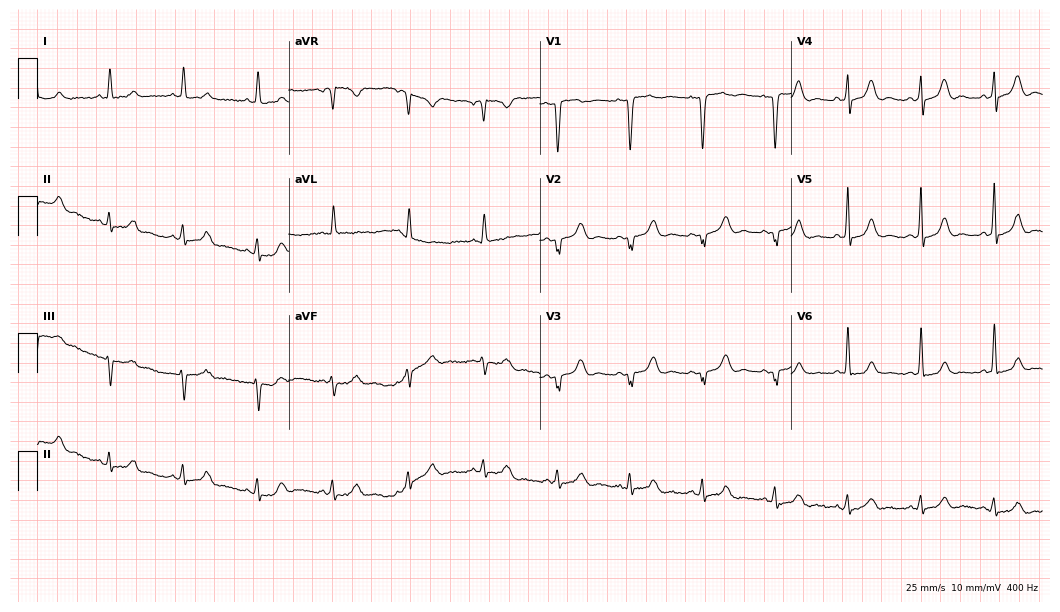
Resting 12-lead electrocardiogram. Patient: an 85-year-old female. None of these six findings is recorded: first-degree AV block, right bundle branch block, left bundle branch block, sinus bradycardia, atrial fibrillation, sinus tachycardia.